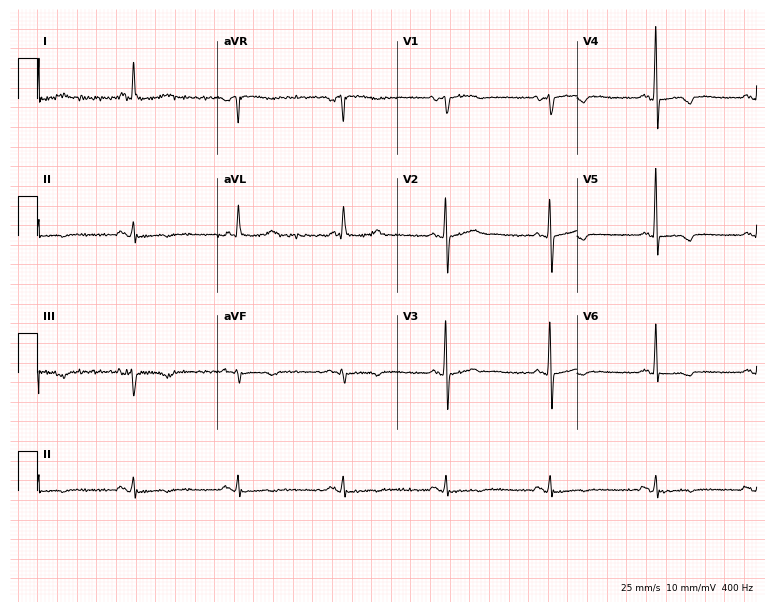
Resting 12-lead electrocardiogram. Patient: a 64-year-old female. None of these six findings is recorded: first-degree AV block, right bundle branch block, left bundle branch block, sinus bradycardia, atrial fibrillation, sinus tachycardia. Other findings, if any, are not listed.